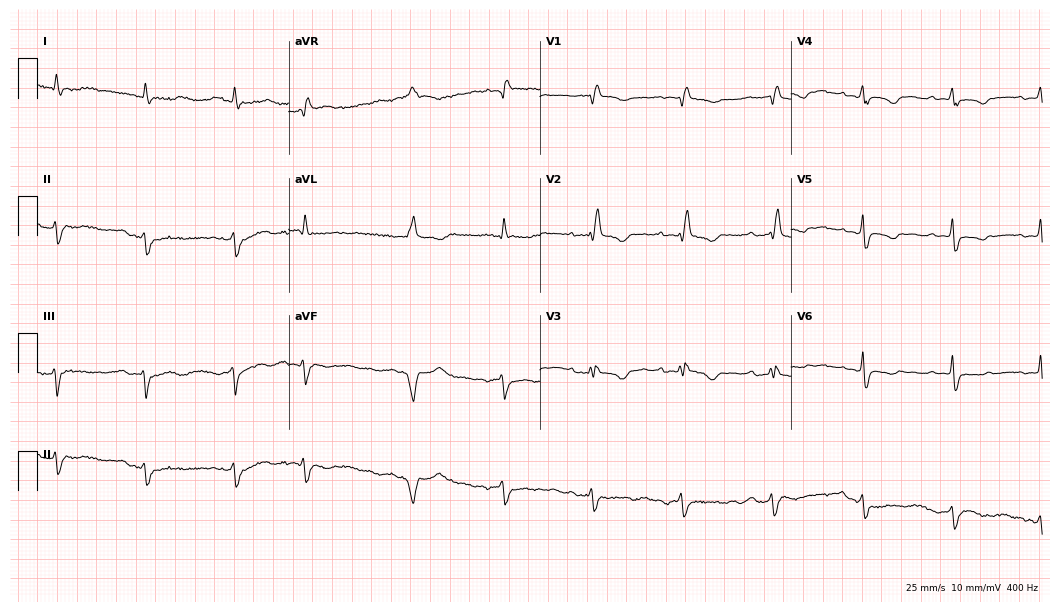
ECG — a female, 82 years old. Screened for six findings — first-degree AV block, right bundle branch block, left bundle branch block, sinus bradycardia, atrial fibrillation, sinus tachycardia — none is recorded. Only these six findings were labelled.